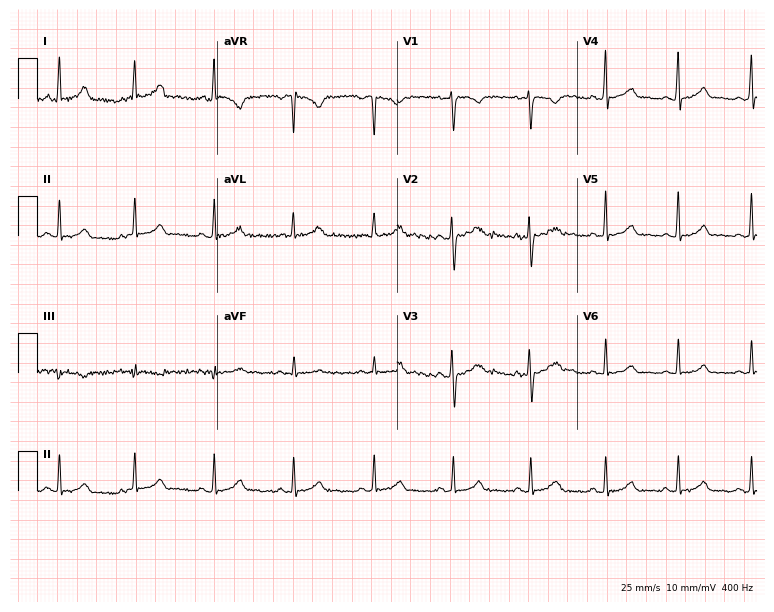
12-lead ECG from a female patient, 29 years old. Recorded interpretation: within normal limits.